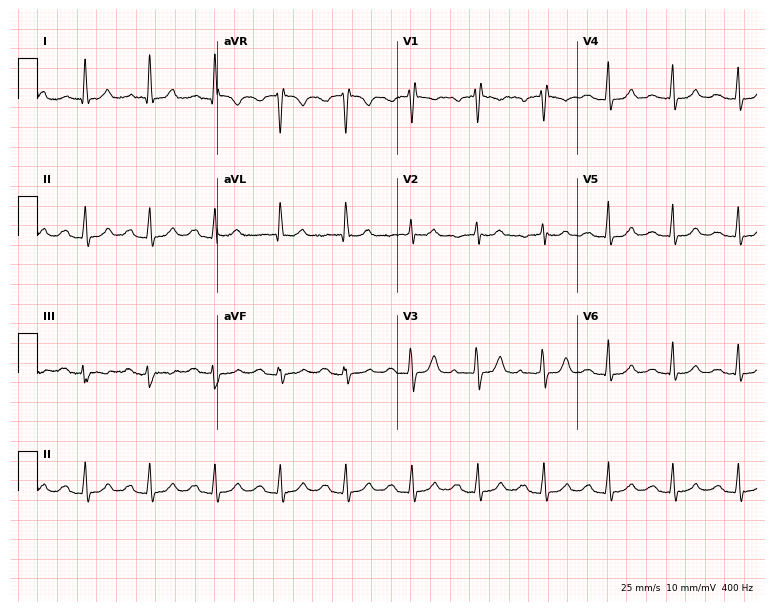
ECG (7.3-second recording at 400 Hz) — a female patient, 64 years old. Findings include first-degree AV block.